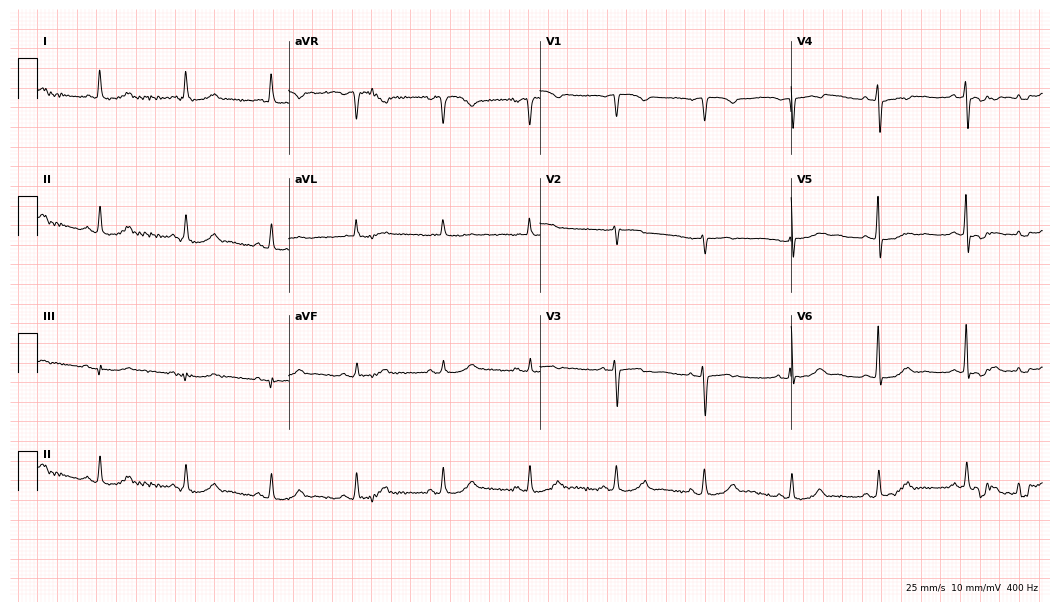
12-lead ECG from a female patient, 81 years old (10.2-second recording at 400 Hz). Recorded interpretation: within normal limits.